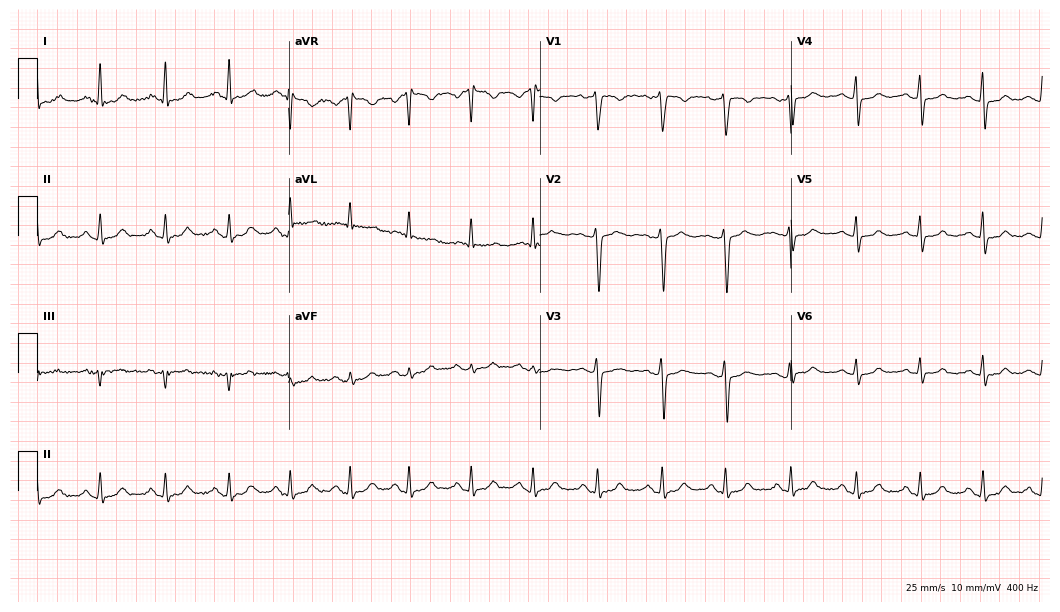
12-lead ECG from a 48-year-old female (10.2-second recording at 400 Hz). Recorded interpretation: within normal limits.